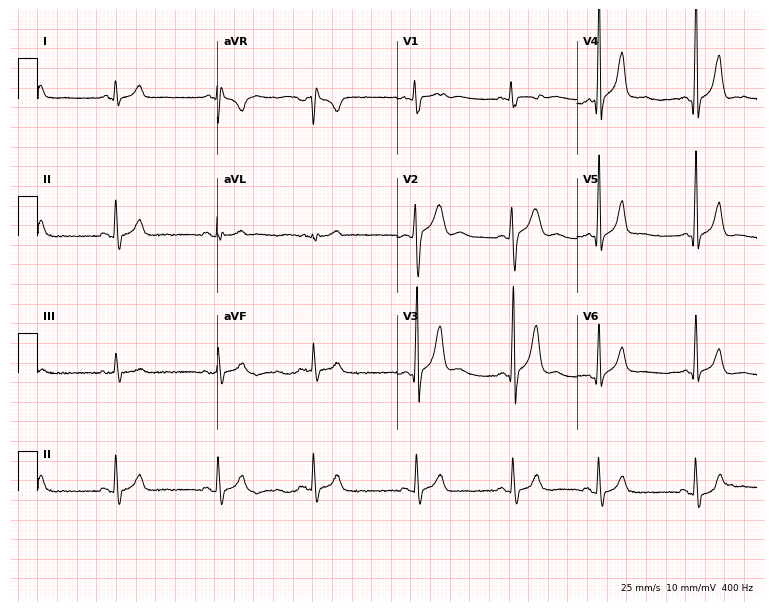
Resting 12-lead electrocardiogram (7.3-second recording at 400 Hz). Patient: a man, 20 years old. None of these six findings is recorded: first-degree AV block, right bundle branch block, left bundle branch block, sinus bradycardia, atrial fibrillation, sinus tachycardia.